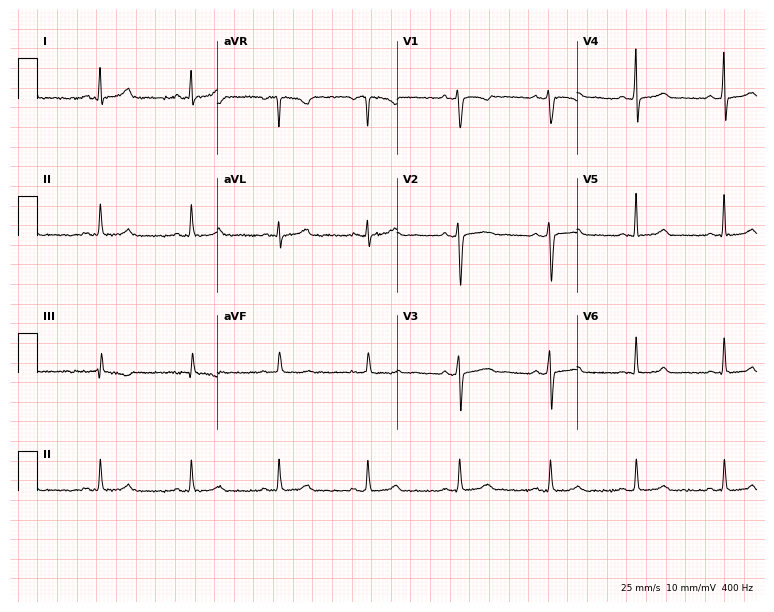
12-lead ECG from a female, 31 years old (7.3-second recording at 400 Hz). Recorded interpretation: within normal limits.